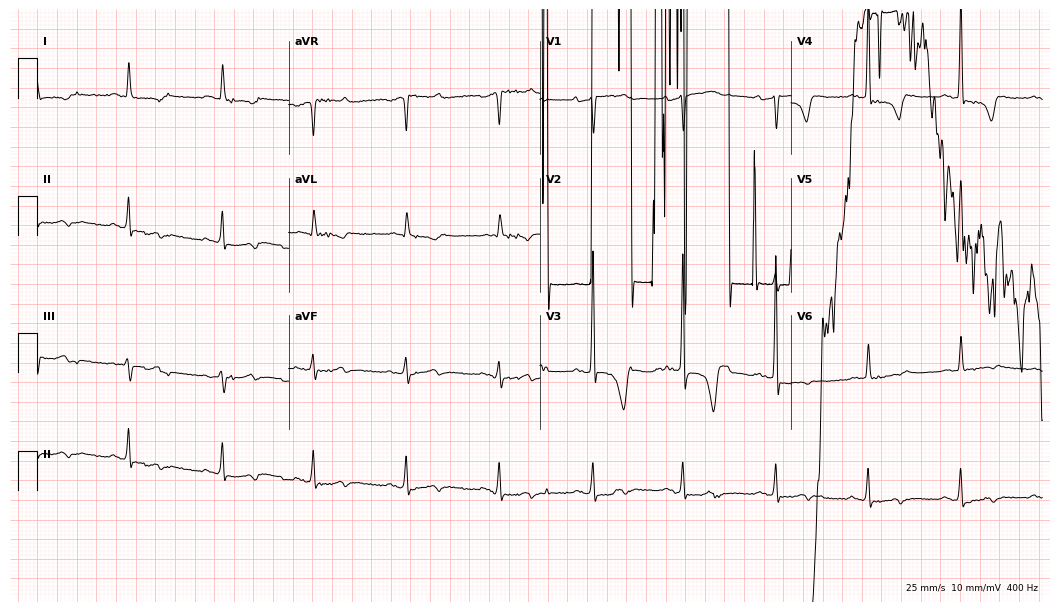
Standard 12-lead ECG recorded from a female patient, 71 years old (10.2-second recording at 400 Hz). None of these six findings is recorded: first-degree AV block, right bundle branch block, left bundle branch block, sinus bradycardia, atrial fibrillation, sinus tachycardia. Findings outside these six are not listed.